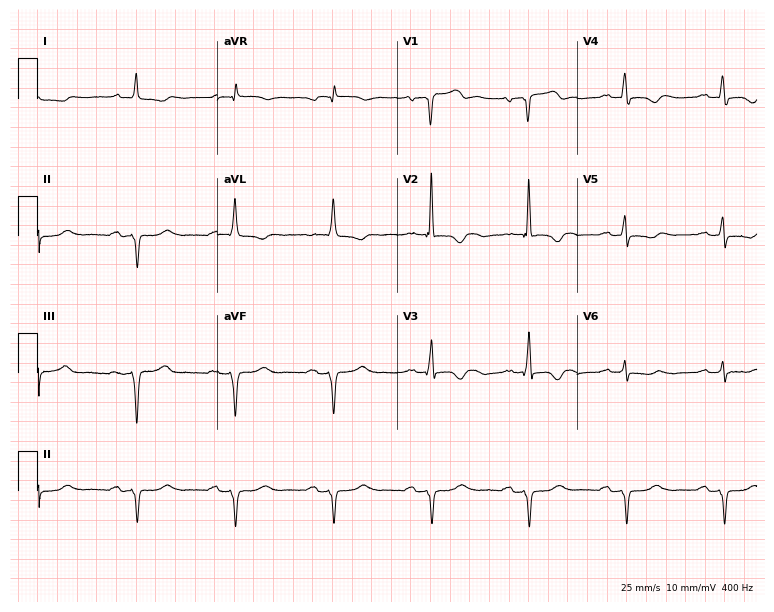
12-lead ECG from an 85-year-old male patient (7.3-second recording at 400 Hz). No first-degree AV block, right bundle branch block, left bundle branch block, sinus bradycardia, atrial fibrillation or sinus tachycardia recorded for this tracing.